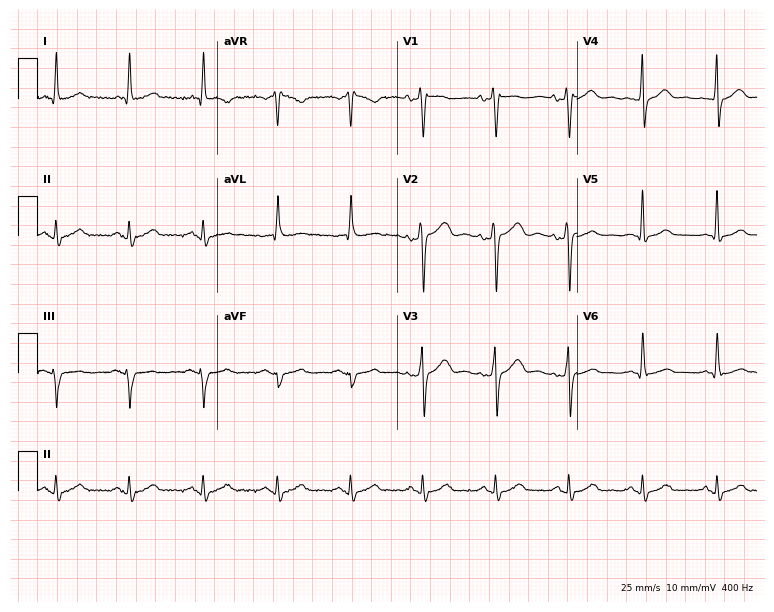
12-lead ECG from a male patient, 41 years old. No first-degree AV block, right bundle branch block, left bundle branch block, sinus bradycardia, atrial fibrillation or sinus tachycardia recorded for this tracing. Findings outside these six are not listed.